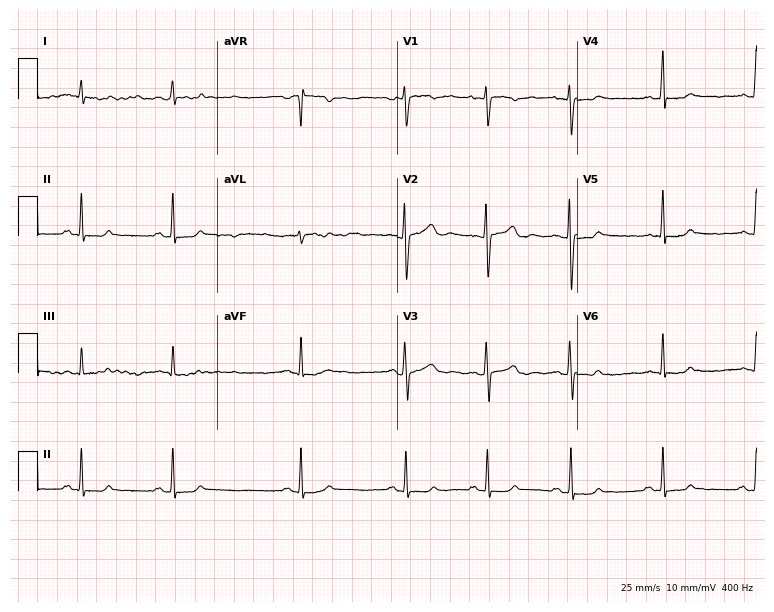
Resting 12-lead electrocardiogram. Patient: a female, 27 years old. None of these six findings is recorded: first-degree AV block, right bundle branch block, left bundle branch block, sinus bradycardia, atrial fibrillation, sinus tachycardia.